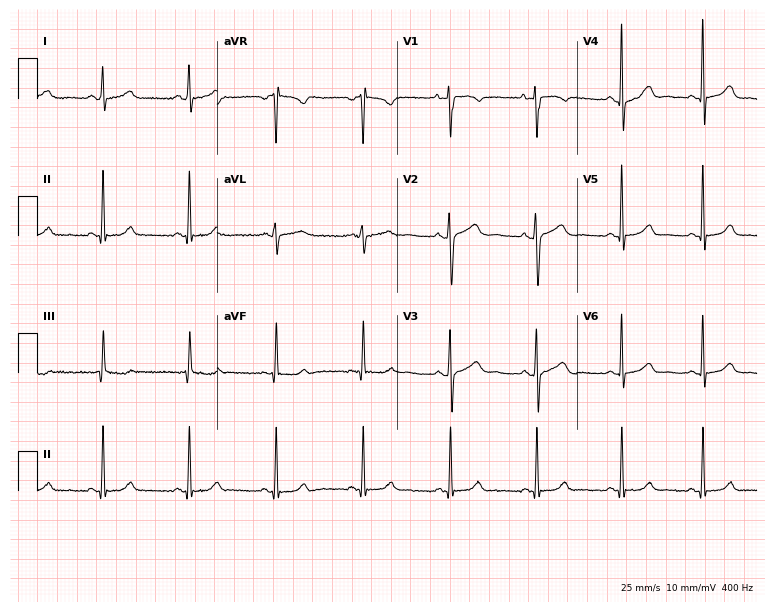
Resting 12-lead electrocardiogram (7.3-second recording at 400 Hz). Patient: a female, 29 years old. None of these six findings is recorded: first-degree AV block, right bundle branch block (RBBB), left bundle branch block (LBBB), sinus bradycardia, atrial fibrillation (AF), sinus tachycardia. Other findings, if any, are not listed.